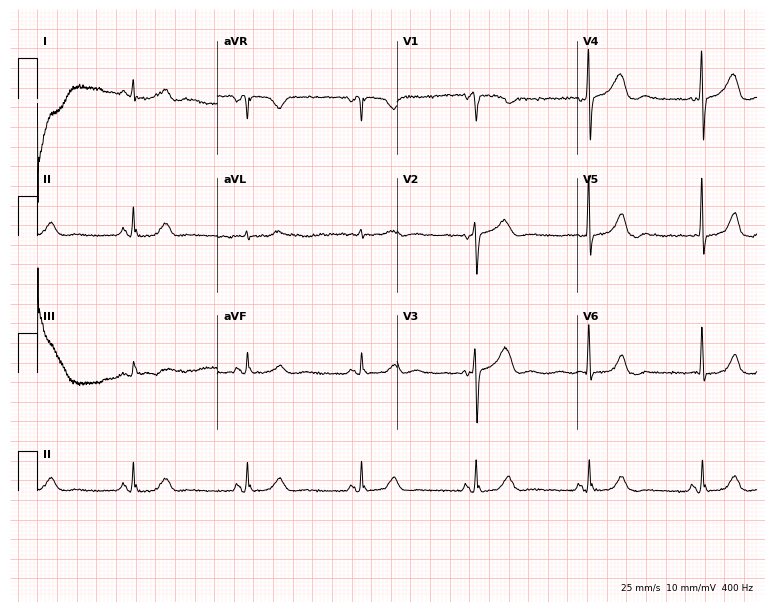
Standard 12-lead ECG recorded from a 75-year-old male (7.3-second recording at 400 Hz). None of these six findings is recorded: first-degree AV block, right bundle branch block, left bundle branch block, sinus bradycardia, atrial fibrillation, sinus tachycardia. Findings outside these six are not listed.